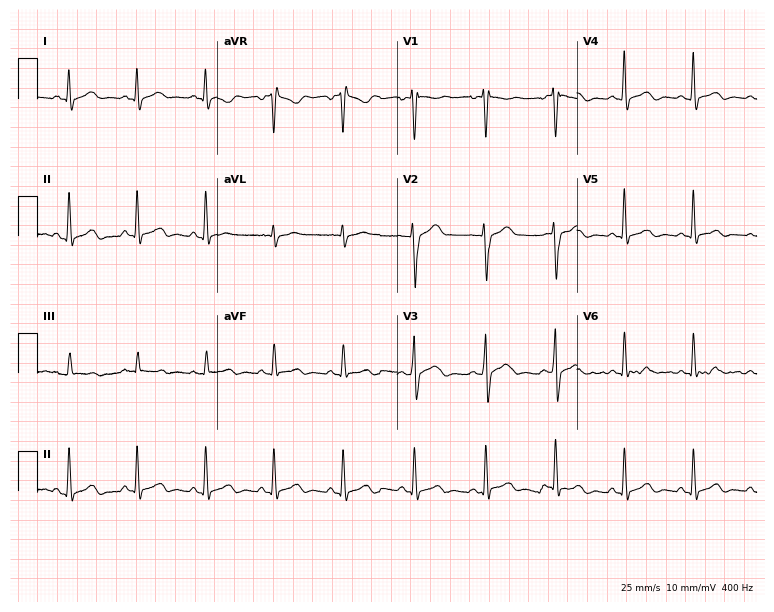
Standard 12-lead ECG recorded from a 24-year-old male. None of these six findings is recorded: first-degree AV block, right bundle branch block, left bundle branch block, sinus bradycardia, atrial fibrillation, sinus tachycardia.